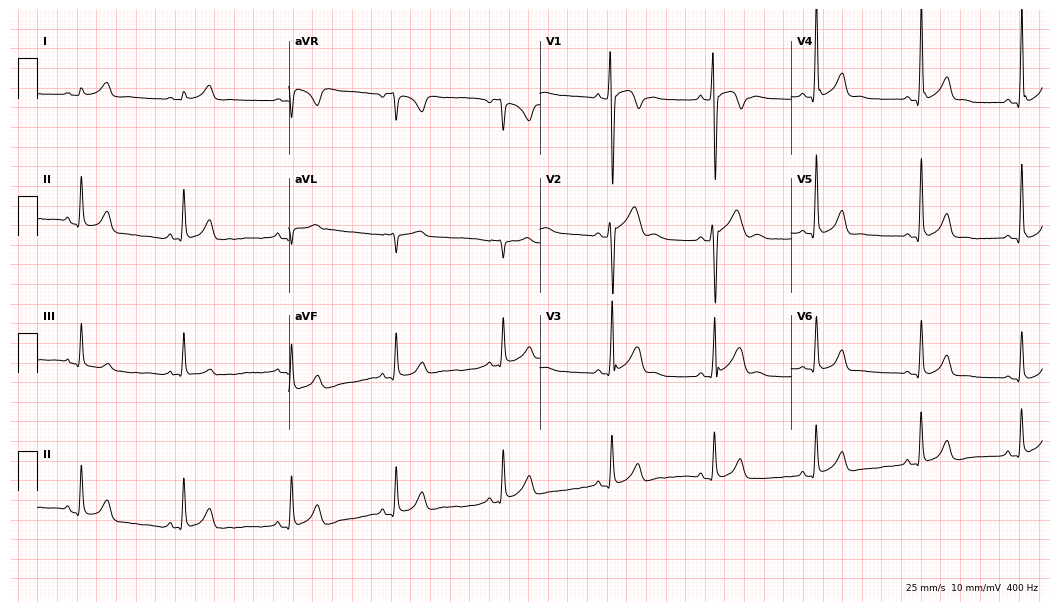
Standard 12-lead ECG recorded from a 26-year-old male. None of these six findings is recorded: first-degree AV block, right bundle branch block, left bundle branch block, sinus bradycardia, atrial fibrillation, sinus tachycardia.